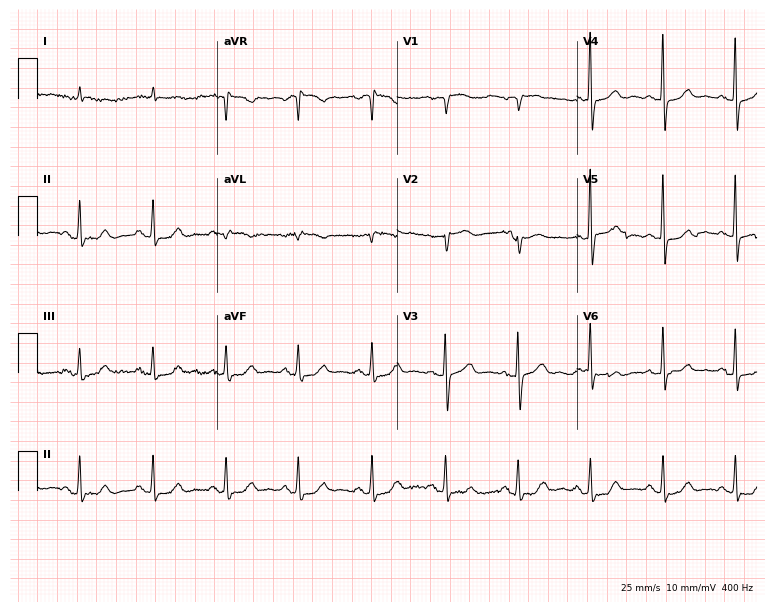
Standard 12-lead ECG recorded from a female patient, 78 years old (7.3-second recording at 400 Hz). None of these six findings is recorded: first-degree AV block, right bundle branch block, left bundle branch block, sinus bradycardia, atrial fibrillation, sinus tachycardia.